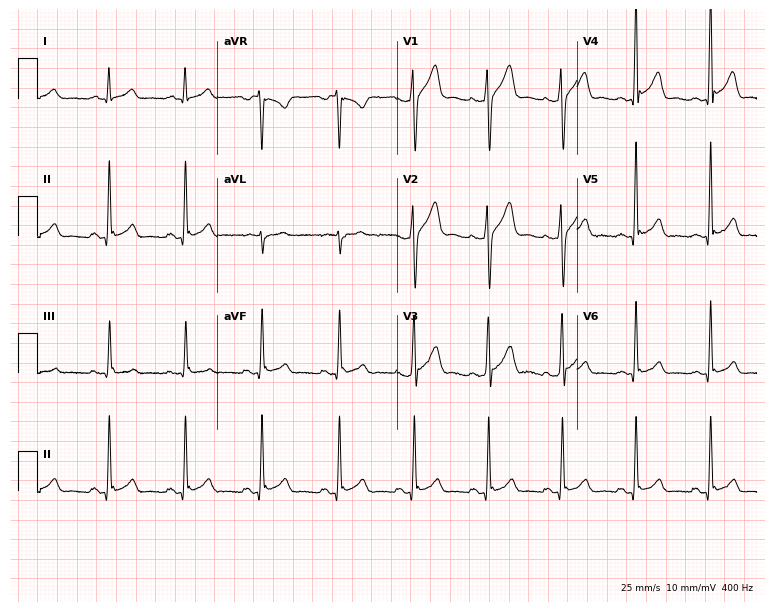
Resting 12-lead electrocardiogram. Patient: a 28-year-old male. None of these six findings is recorded: first-degree AV block, right bundle branch block, left bundle branch block, sinus bradycardia, atrial fibrillation, sinus tachycardia. Only these six findings were labelled.